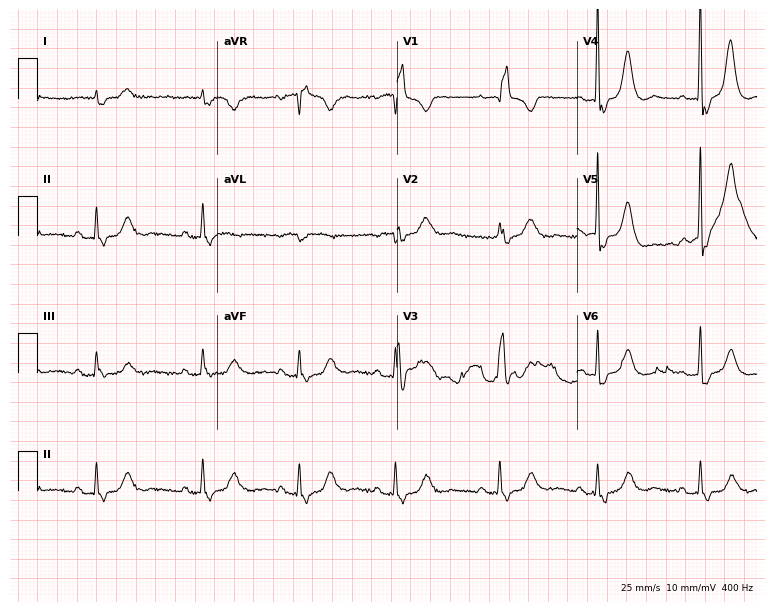
Resting 12-lead electrocardiogram. Patient: a 78-year-old female. The tracing shows right bundle branch block (RBBB).